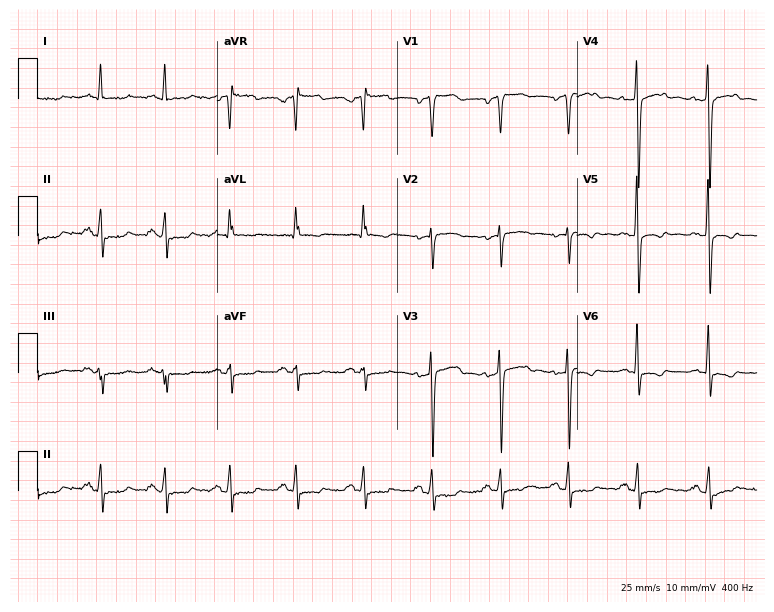
Resting 12-lead electrocardiogram. Patient: a 56-year-old man. None of these six findings is recorded: first-degree AV block, right bundle branch block, left bundle branch block, sinus bradycardia, atrial fibrillation, sinus tachycardia.